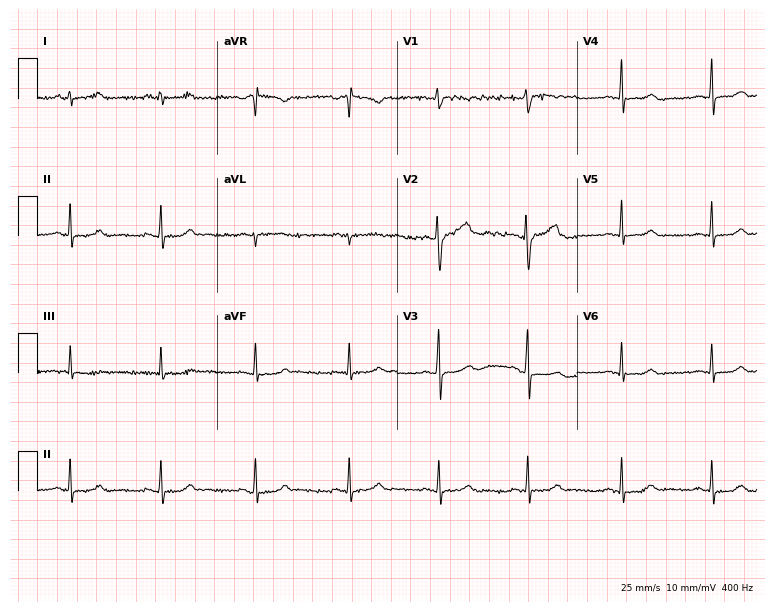
12-lead ECG from a 39-year-old female. Screened for six findings — first-degree AV block, right bundle branch block (RBBB), left bundle branch block (LBBB), sinus bradycardia, atrial fibrillation (AF), sinus tachycardia — none is recorded. Only these six findings were labelled.